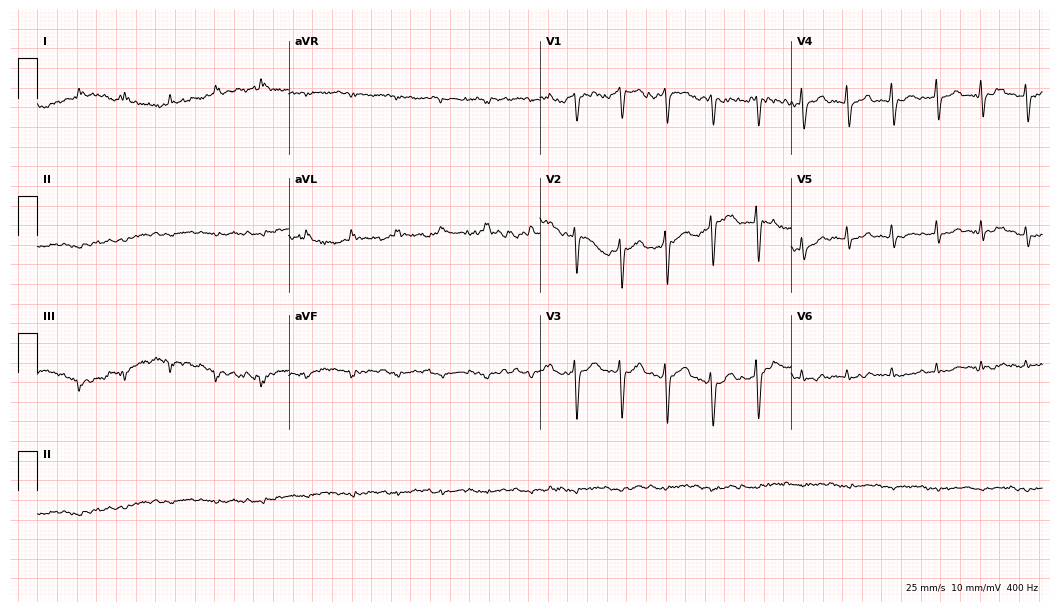
12-lead ECG from a male patient, 64 years old. No first-degree AV block, right bundle branch block, left bundle branch block, sinus bradycardia, atrial fibrillation or sinus tachycardia recorded for this tracing. Other findings, if any, are not listed.